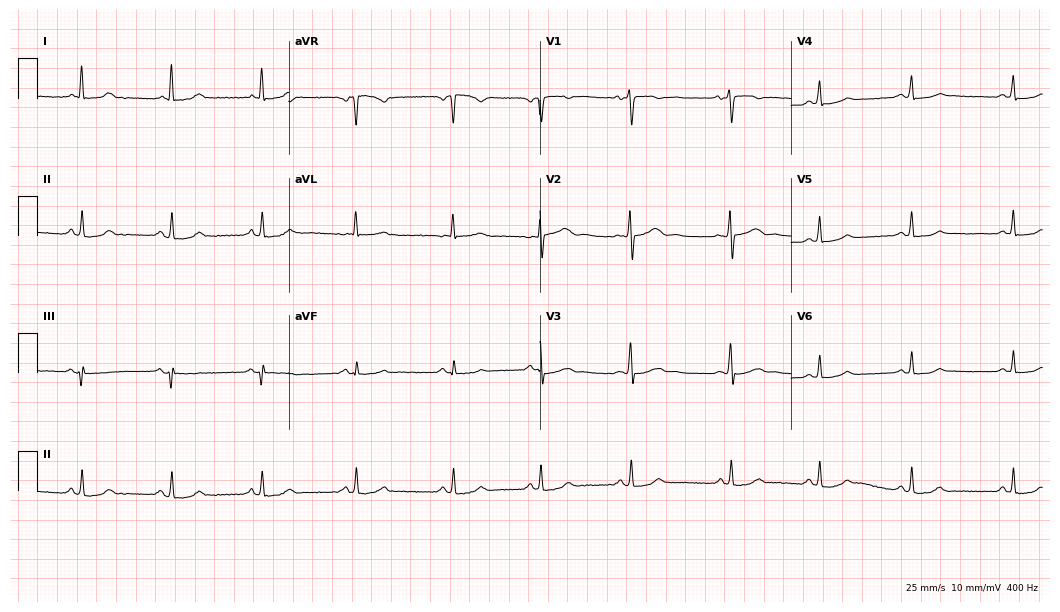
Resting 12-lead electrocardiogram (10.2-second recording at 400 Hz). Patient: a female, 27 years old. None of these six findings is recorded: first-degree AV block, right bundle branch block, left bundle branch block, sinus bradycardia, atrial fibrillation, sinus tachycardia. Findings outside these six are not listed.